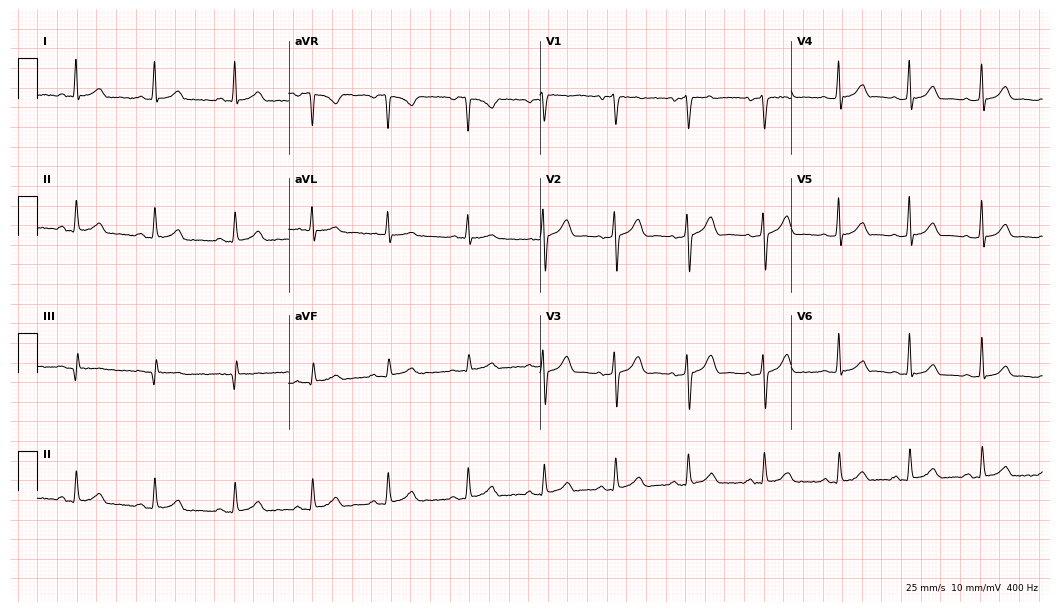
Resting 12-lead electrocardiogram (10.2-second recording at 400 Hz). Patient: an 80-year-old male. Read as a normal ECG.